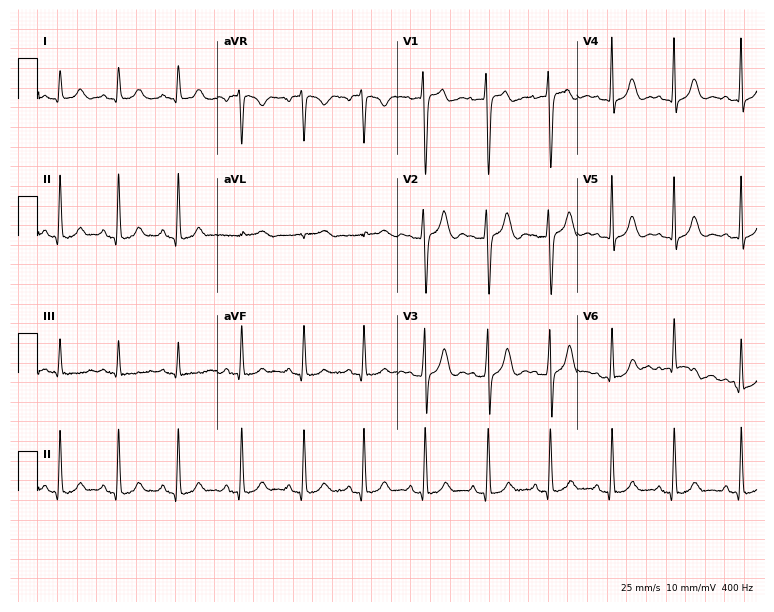
12-lead ECG from an 18-year-old woman. Labelled as a normal ECG.